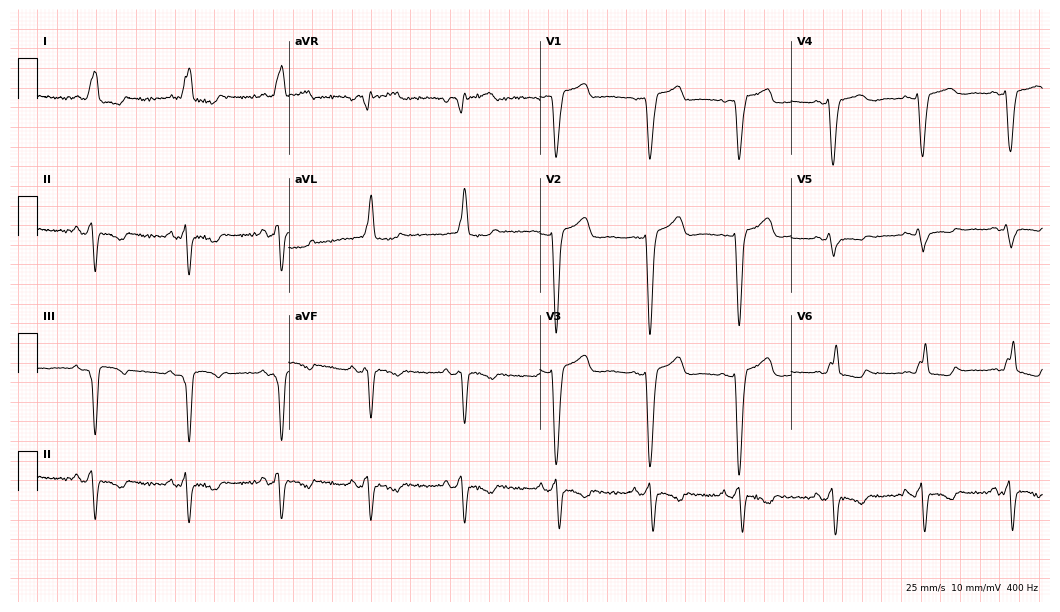
Resting 12-lead electrocardiogram (10.2-second recording at 400 Hz). Patient: an 85-year-old female. The tracing shows left bundle branch block.